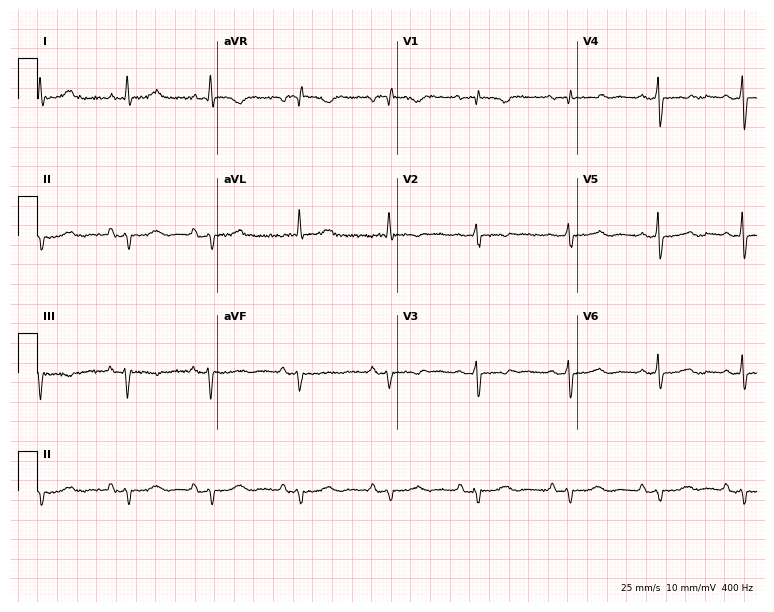
ECG (7.3-second recording at 400 Hz) — a woman, 80 years old. Screened for six findings — first-degree AV block, right bundle branch block (RBBB), left bundle branch block (LBBB), sinus bradycardia, atrial fibrillation (AF), sinus tachycardia — none is recorded.